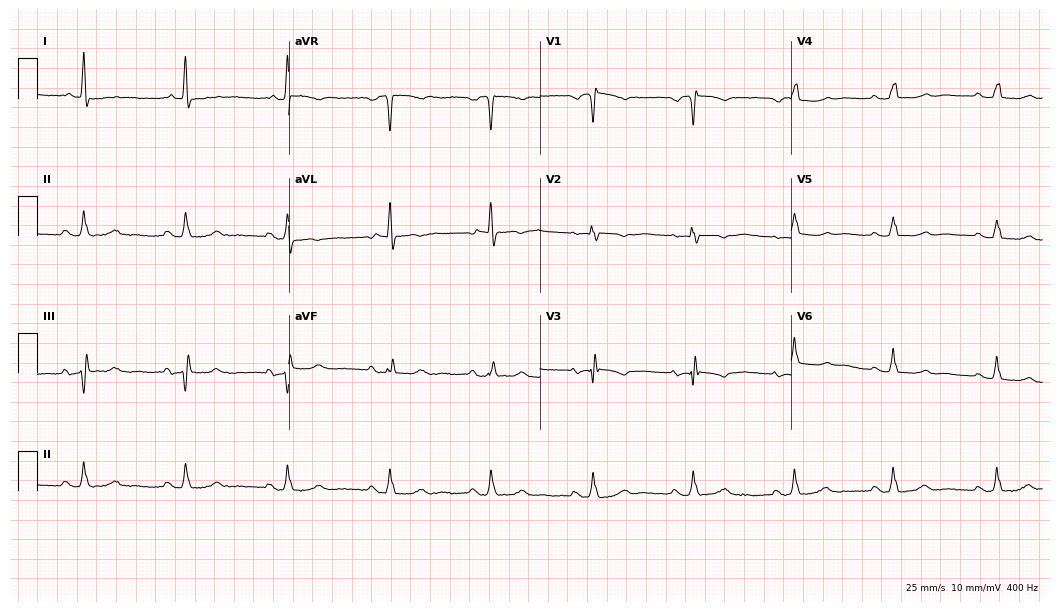
12-lead ECG from an 84-year-old female (10.2-second recording at 400 Hz). No first-degree AV block, right bundle branch block, left bundle branch block, sinus bradycardia, atrial fibrillation or sinus tachycardia recorded for this tracing.